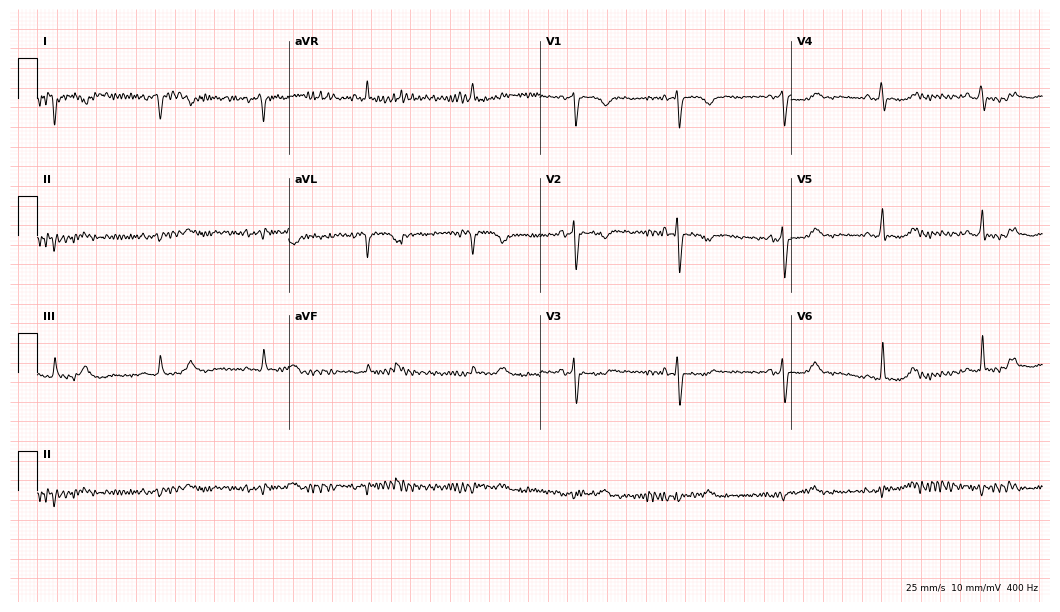
12-lead ECG from a 70-year-old female. No first-degree AV block, right bundle branch block, left bundle branch block, sinus bradycardia, atrial fibrillation or sinus tachycardia recorded for this tracing. Only these six findings were labelled.